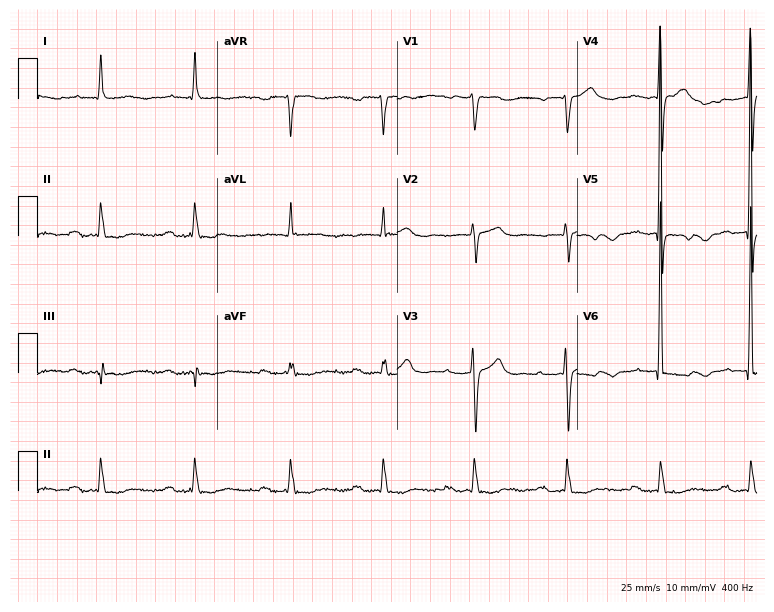
Resting 12-lead electrocardiogram. Patient: an 81-year-old male. The tracing shows first-degree AV block.